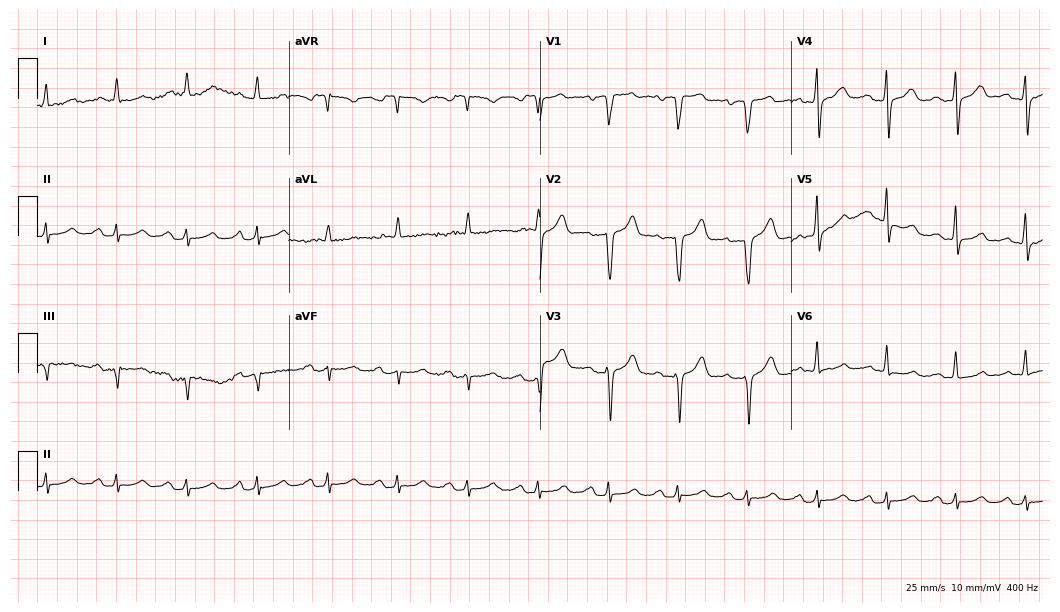
Electrocardiogram (10.2-second recording at 400 Hz), a male, 86 years old. Interpretation includes first-degree AV block.